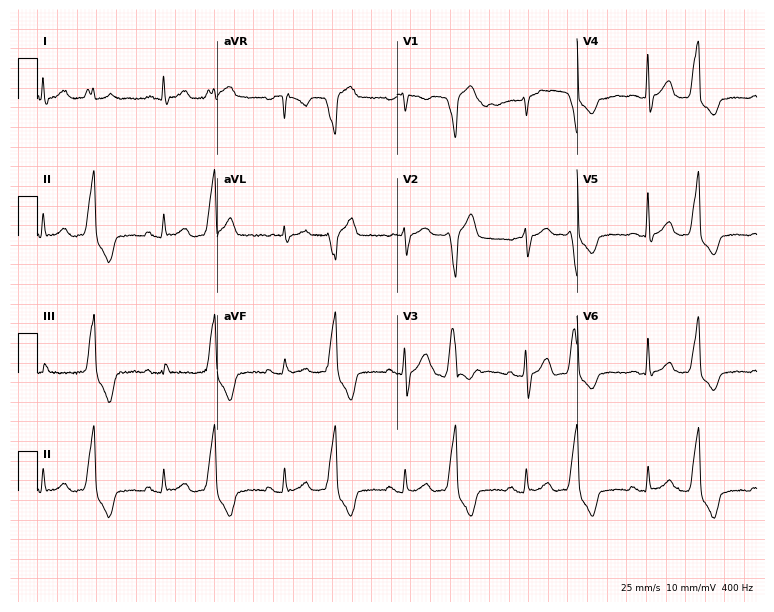
Electrocardiogram (7.3-second recording at 400 Hz), a 66-year-old male. Of the six screened findings (first-degree AV block, right bundle branch block (RBBB), left bundle branch block (LBBB), sinus bradycardia, atrial fibrillation (AF), sinus tachycardia), none is recorded. Other findings, if any, are not listed.